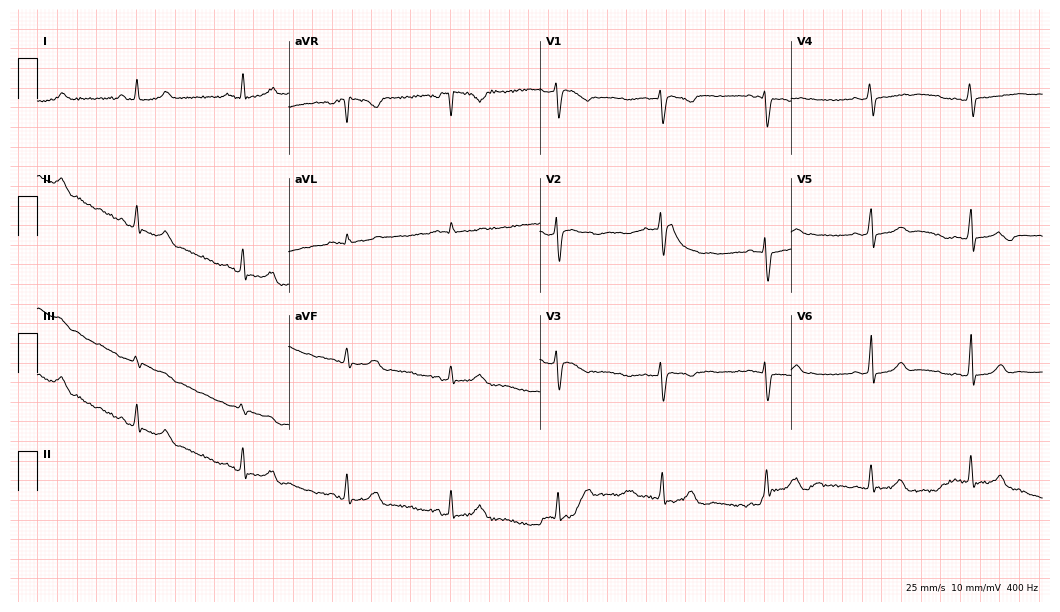
Standard 12-lead ECG recorded from a 29-year-old woman. None of these six findings is recorded: first-degree AV block, right bundle branch block (RBBB), left bundle branch block (LBBB), sinus bradycardia, atrial fibrillation (AF), sinus tachycardia. Other findings, if any, are not listed.